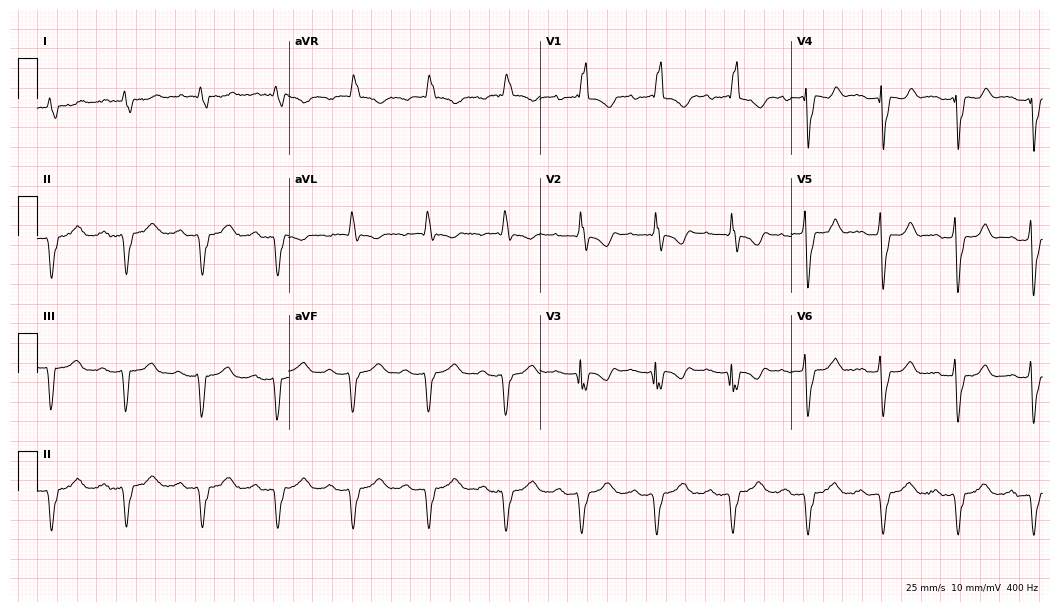
12-lead ECG (10.2-second recording at 400 Hz) from a male patient, 84 years old. Findings include first-degree AV block, right bundle branch block.